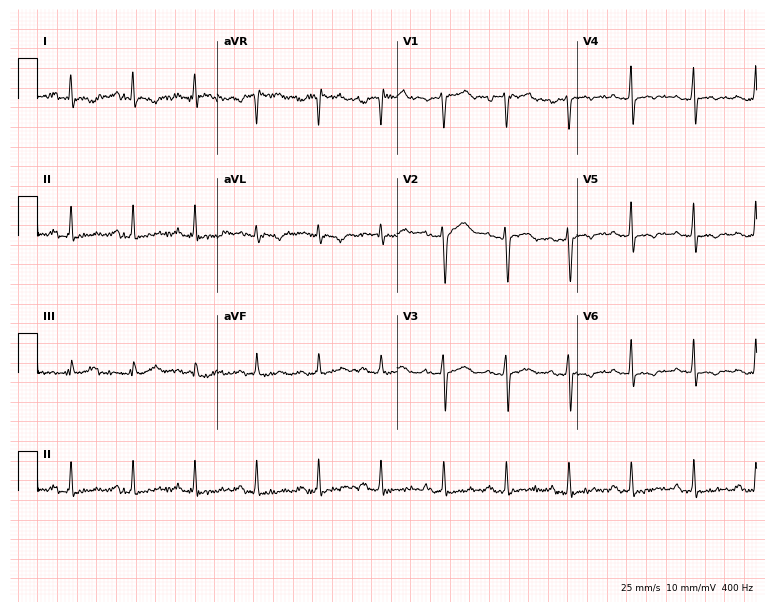
ECG — a 42-year-old male. Screened for six findings — first-degree AV block, right bundle branch block (RBBB), left bundle branch block (LBBB), sinus bradycardia, atrial fibrillation (AF), sinus tachycardia — none is recorded. Findings outside these six are not listed.